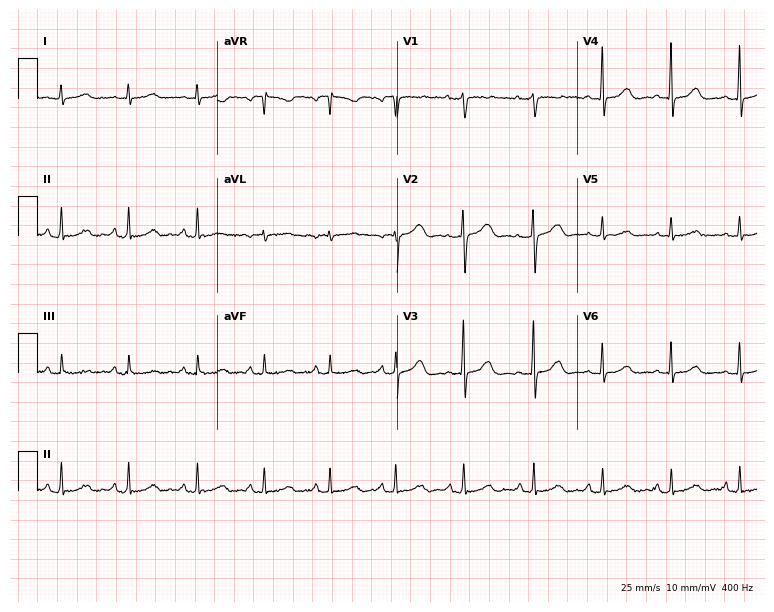
12-lead ECG (7.3-second recording at 400 Hz) from a 32-year-old female patient. Screened for six findings — first-degree AV block, right bundle branch block, left bundle branch block, sinus bradycardia, atrial fibrillation, sinus tachycardia — none is recorded. Findings outside these six are not listed.